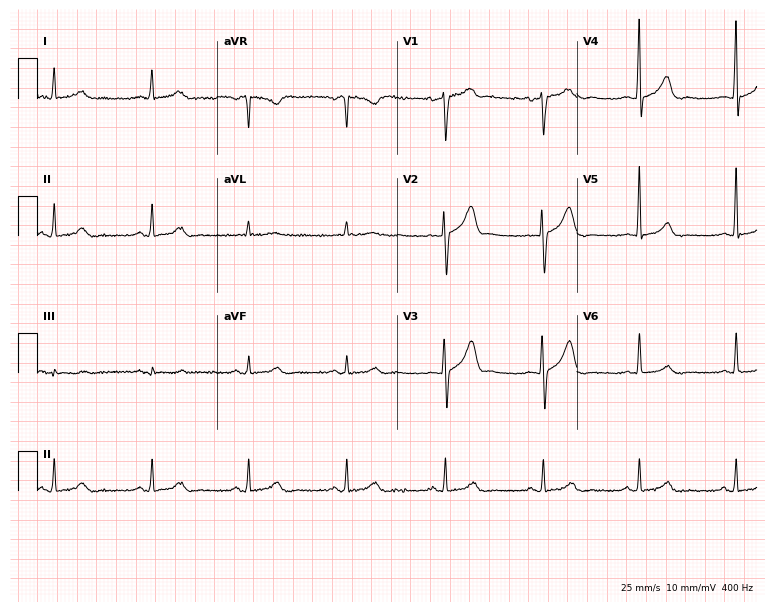
ECG (7.3-second recording at 400 Hz) — a 55-year-old male patient. Labelled as a normal ECG.